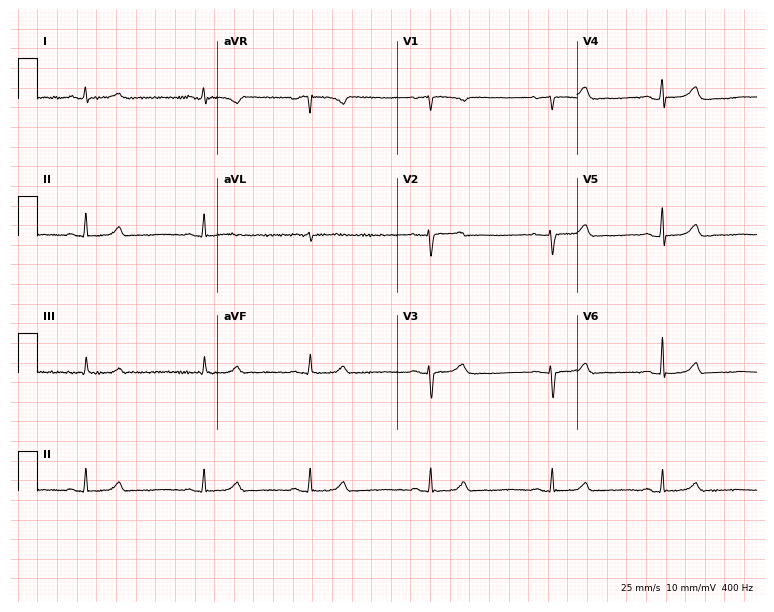
12-lead ECG from a female, 33 years old (7.3-second recording at 400 Hz). No first-degree AV block, right bundle branch block, left bundle branch block, sinus bradycardia, atrial fibrillation or sinus tachycardia recorded for this tracing.